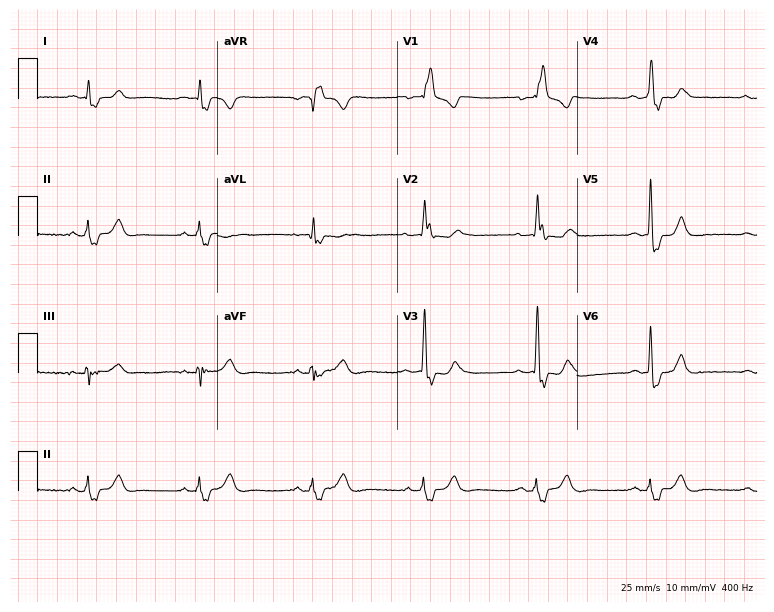
Electrocardiogram (7.3-second recording at 400 Hz), a male, 75 years old. Of the six screened findings (first-degree AV block, right bundle branch block (RBBB), left bundle branch block (LBBB), sinus bradycardia, atrial fibrillation (AF), sinus tachycardia), none is recorded. Other findings, if any, are not listed.